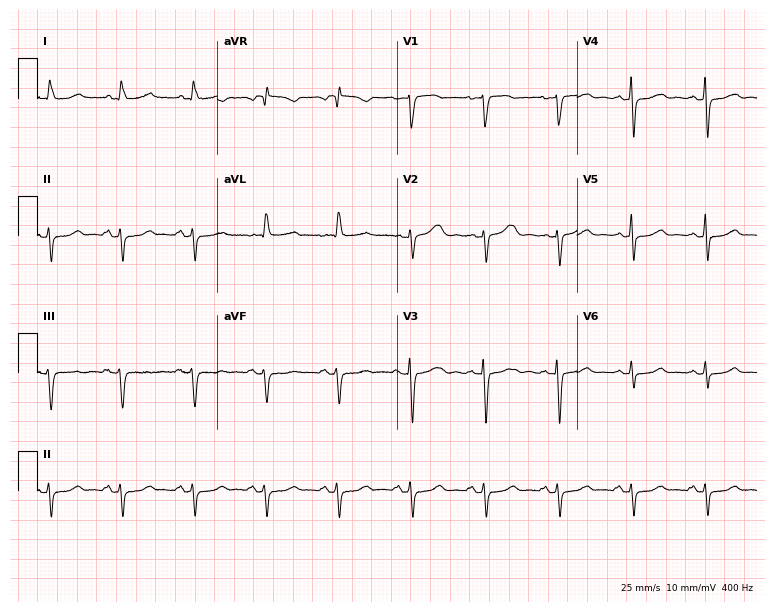
Electrocardiogram, a woman, 73 years old. Of the six screened findings (first-degree AV block, right bundle branch block, left bundle branch block, sinus bradycardia, atrial fibrillation, sinus tachycardia), none is recorded.